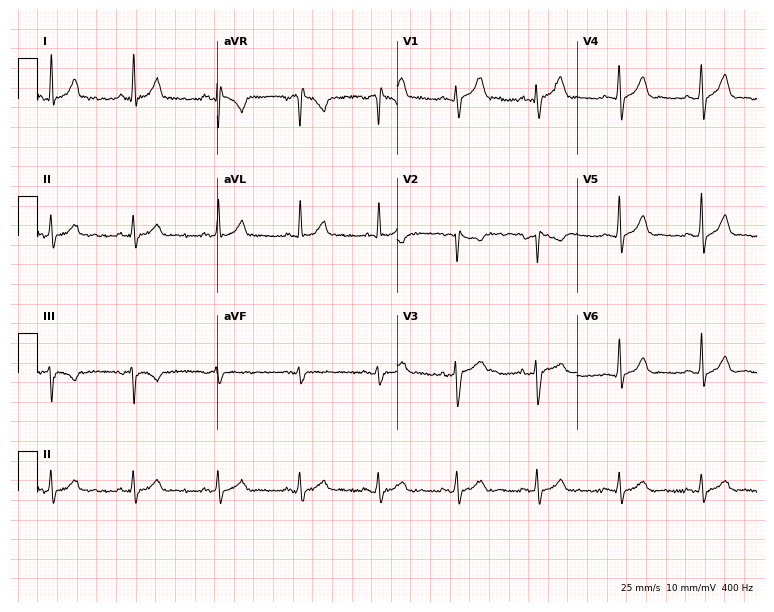
ECG — a male, 37 years old. Screened for six findings — first-degree AV block, right bundle branch block, left bundle branch block, sinus bradycardia, atrial fibrillation, sinus tachycardia — none is recorded. Only these six findings were labelled.